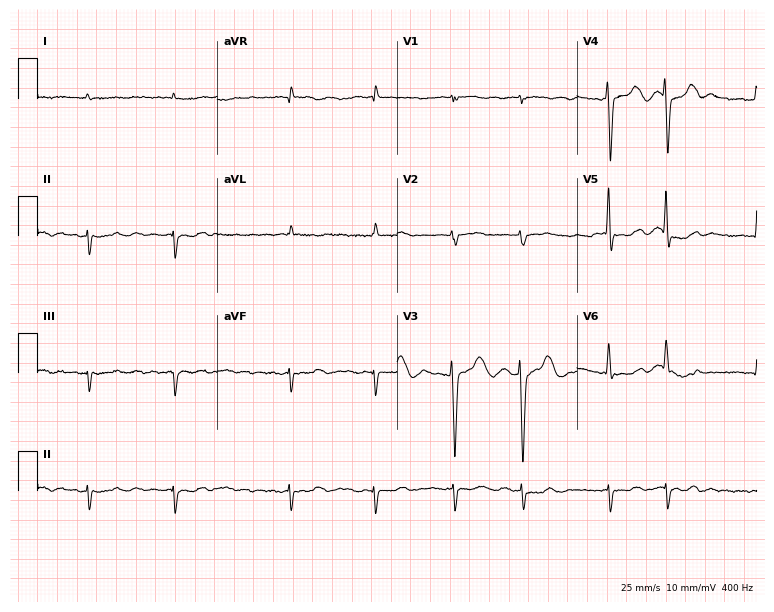
Standard 12-lead ECG recorded from an 85-year-old male (7.3-second recording at 400 Hz). None of these six findings is recorded: first-degree AV block, right bundle branch block, left bundle branch block, sinus bradycardia, atrial fibrillation, sinus tachycardia. Findings outside these six are not listed.